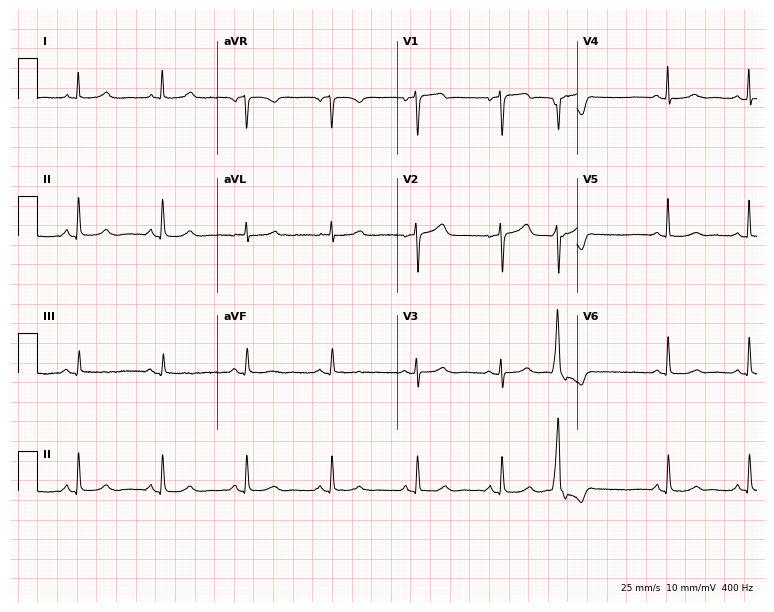
12-lead ECG from a 72-year-old female. Labelled as a normal ECG.